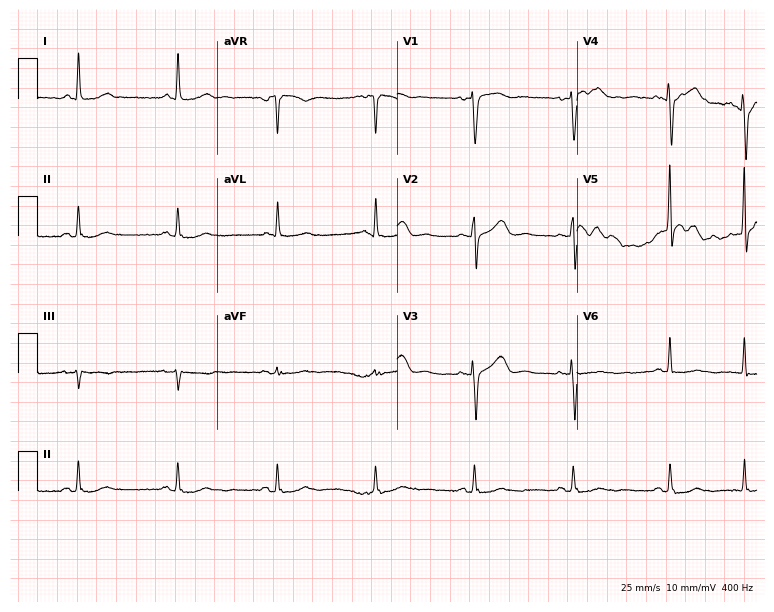
12-lead ECG from a female, 71 years old. Screened for six findings — first-degree AV block, right bundle branch block, left bundle branch block, sinus bradycardia, atrial fibrillation, sinus tachycardia — none is recorded.